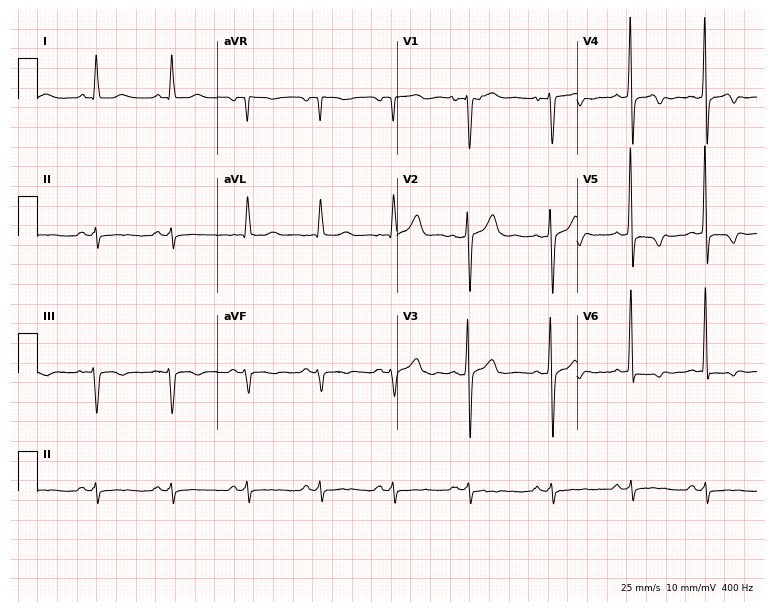
12-lead ECG from a 40-year-old male patient. Screened for six findings — first-degree AV block, right bundle branch block (RBBB), left bundle branch block (LBBB), sinus bradycardia, atrial fibrillation (AF), sinus tachycardia — none is recorded. Findings outside these six are not listed.